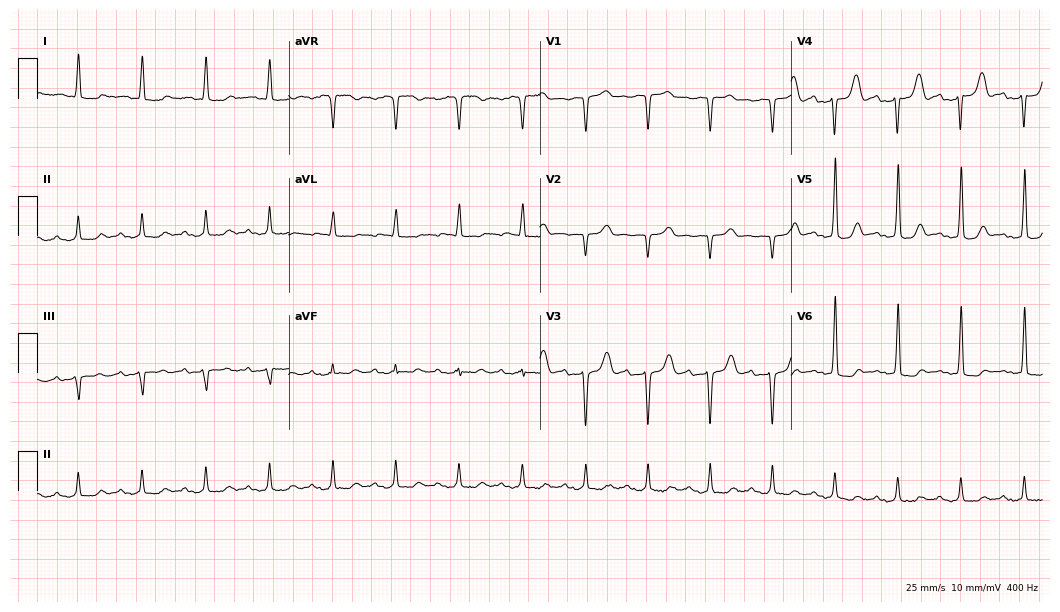
12-lead ECG (10.2-second recording at 400 Hz) from a woman, 82 years old. Screened for six findings — first-degree AV block, right bundle branch block, left bundle branch block, sinus bradycardia, atrial fibrillation, sinus tachycardia — none is recorded. Other findings, if any, are not listed.